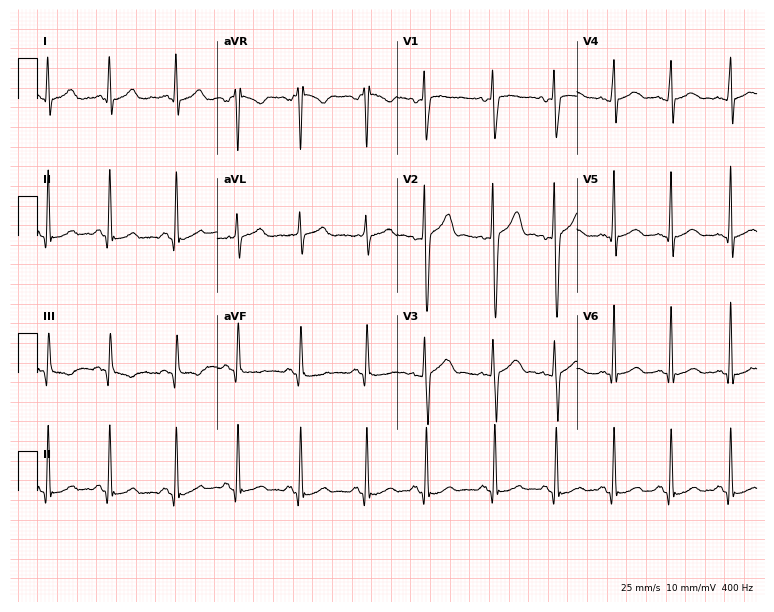
12-lead ECG from a 24-year-old male patient. Recorded interpretation: within normal limits.